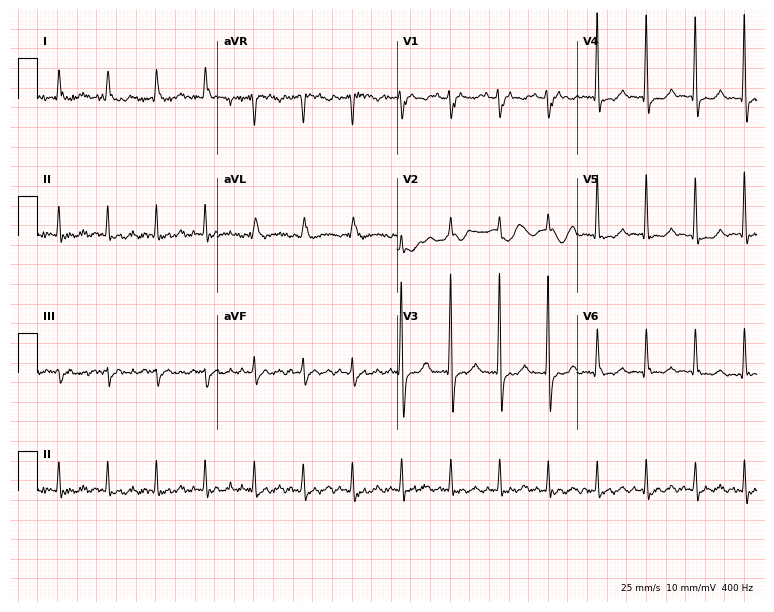
Resting 12-lead electrocardiogram. Patient: an 80-year-old woman. None of these six findings is recorded: first-degree AV block, right bundle branch block, left bundle branch block, sinus bradycardia, atrial fibrillation, sinus tachycardia.